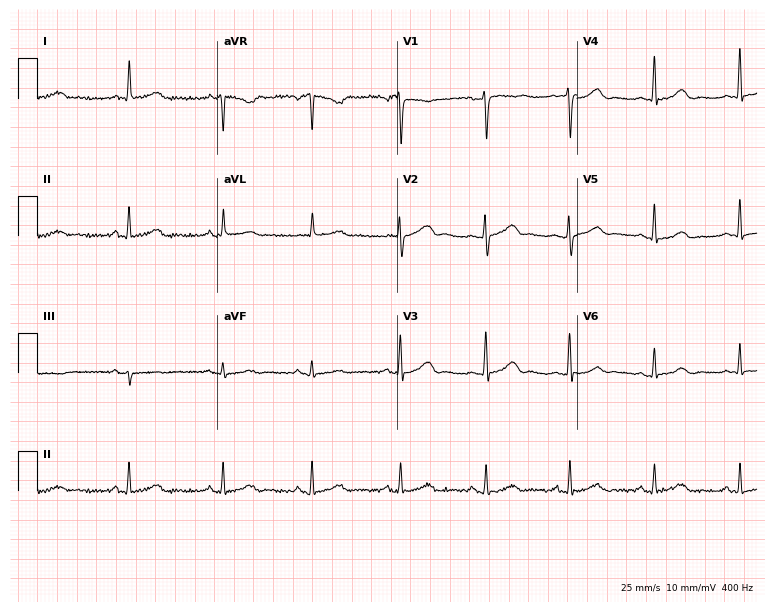
Resting 12-lead electrocardiogram (7.3-second recording at 400 Hz). Patient: a female, 38 years old. None of these six findings is recorded: first-degree AV block, right bundle branch block, left bundle branch block, sinus bradycardia, atrial fibrillation, sinus tachycardia.